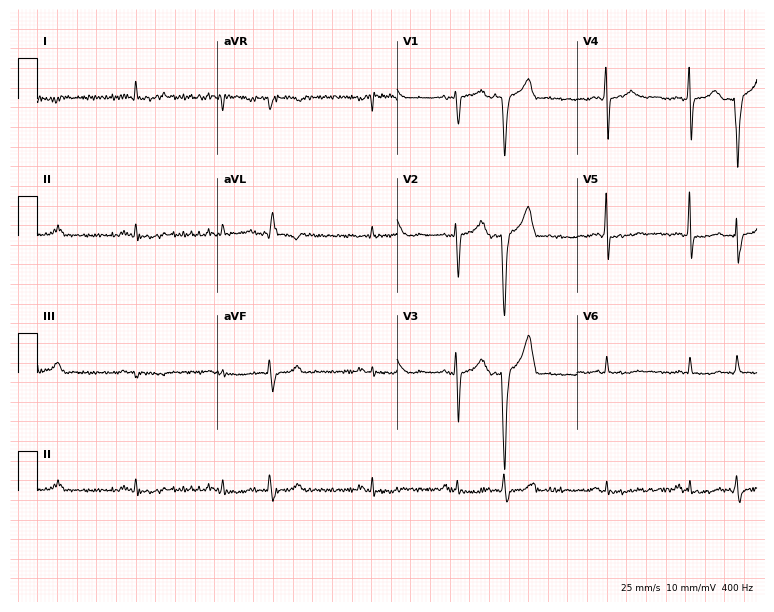
12-lead ECG from a male, 74 years old. No first-degree AV block, right bundle branch block, left bundle branch block, sinus bradycardia, atrial fibrillation or sinus tachycardia recorded for this tracing. Findings outside these six are not listed.